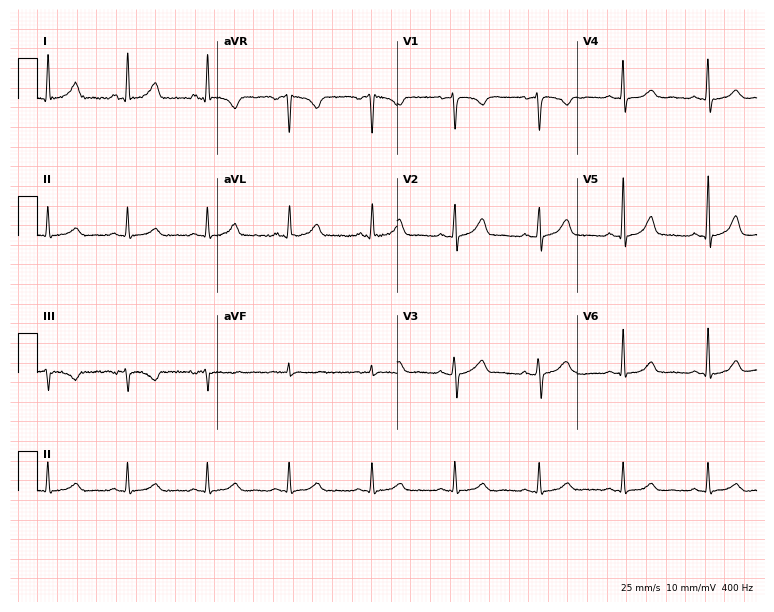
Electrocardiogram, a woman, 45 years old. Overall reading on record: normal ECG.